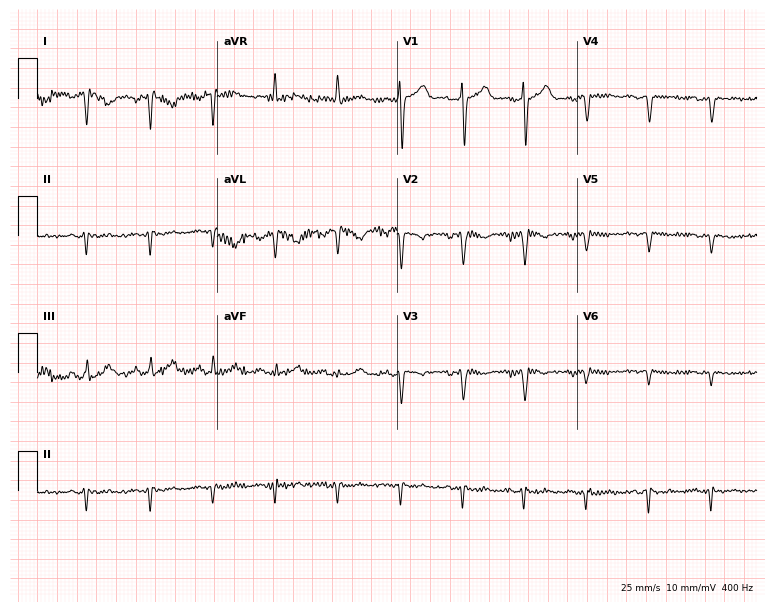
12-lead ECG from a 40-year-old female (7.3-second recording at 400 Hz). No first-degree AV block, right bundle branch block, left bundle branch block, sinus bradycardia, atrial fibrillation or sinus tachycardia recorded for this tracing. Other findings, if any, are not listed.